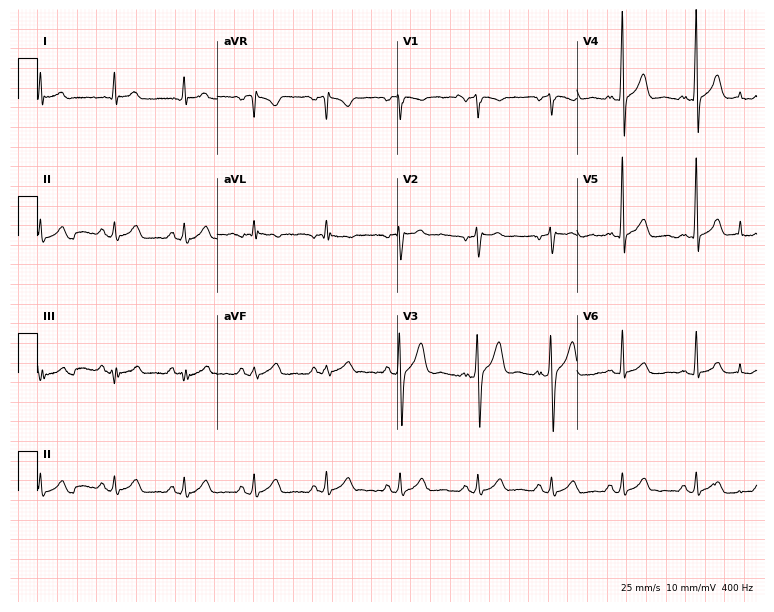
Electrocardiogram, a 26-year-old male patient. Overall reading on record: normal ECG.